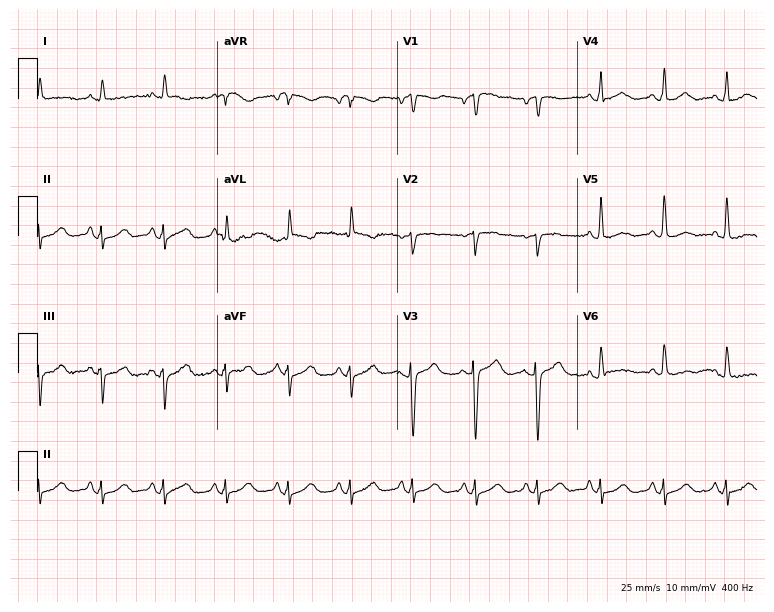
Standard 12-lead ECG recorded from a female patient, 80 years old (7.3-second recording at 400 Hz). None of these six findings is recorded: first-degree AV block, right bundle branch block, left bundle branch block, sinus bradycardia, atrial fibrillation, sinus tachycardia. Other findings, if any, are not listed.